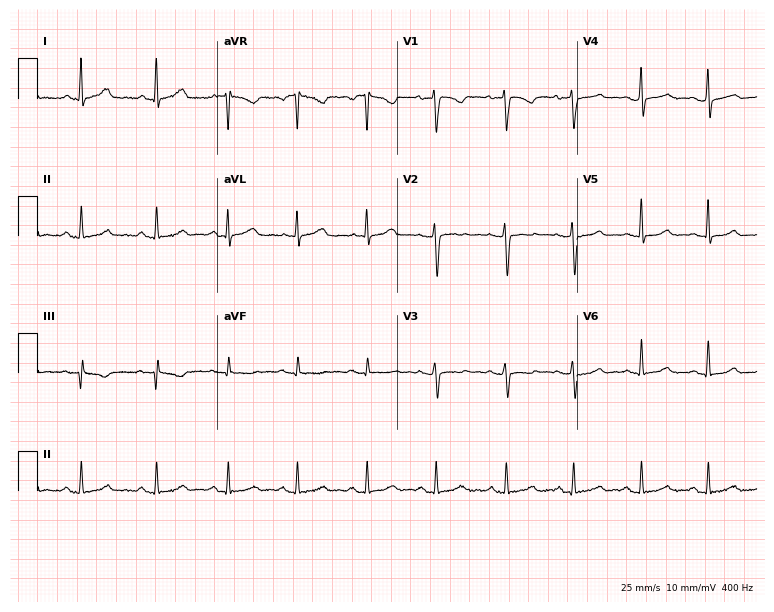
Resting 12-lead electrocardiogram (7.3-second recording at 400 Hz). Patient: a female, 37 years old. Read as a normal ECG.